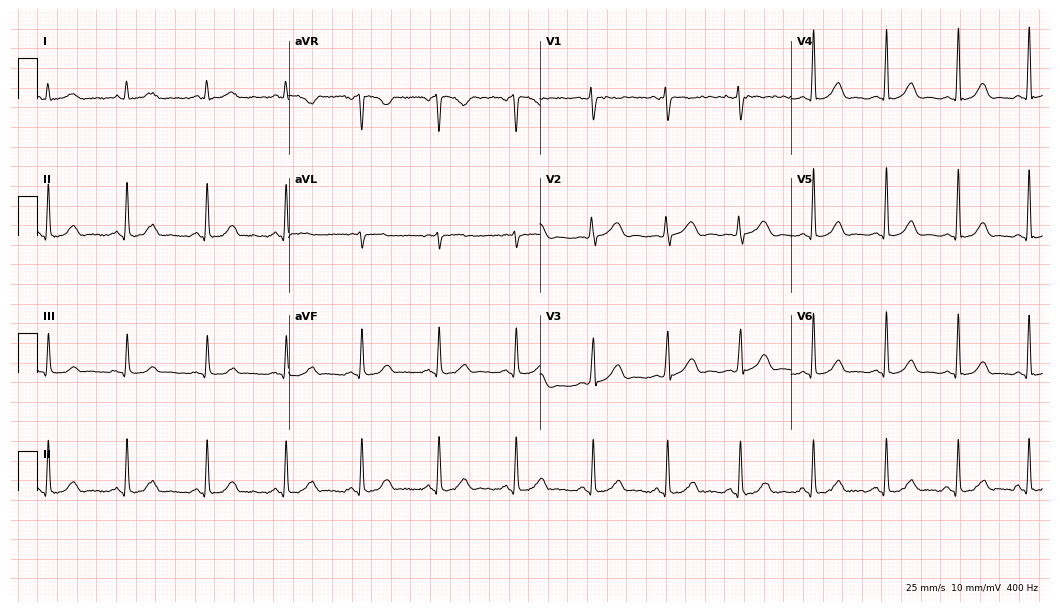
12-lead ECG from a 43-year-old female patient. Recorded interpretation: within normal limits.